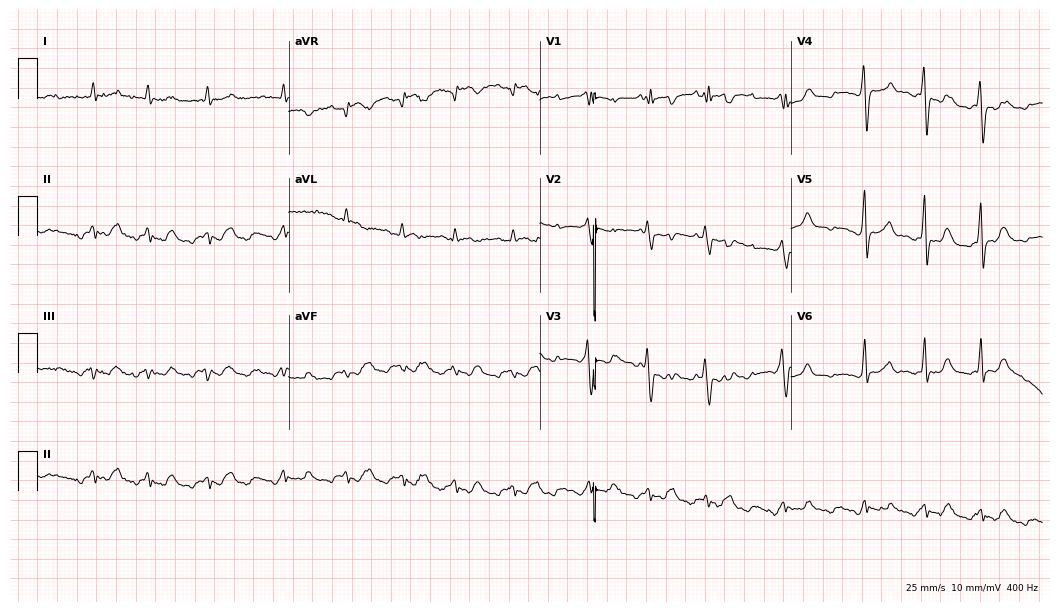
Standard 12-lead ECG recorded from a male patient, 75 years old (10.2-second recording at 400 Hz). None of these six findings is recorded: first-degree AV block, right bundle branch block (RBBB), left bundle branch block (LBBB), sinus bradycardia, atrial fibrillation (AF), sinus tachycardia. Only these six findings were labelled.